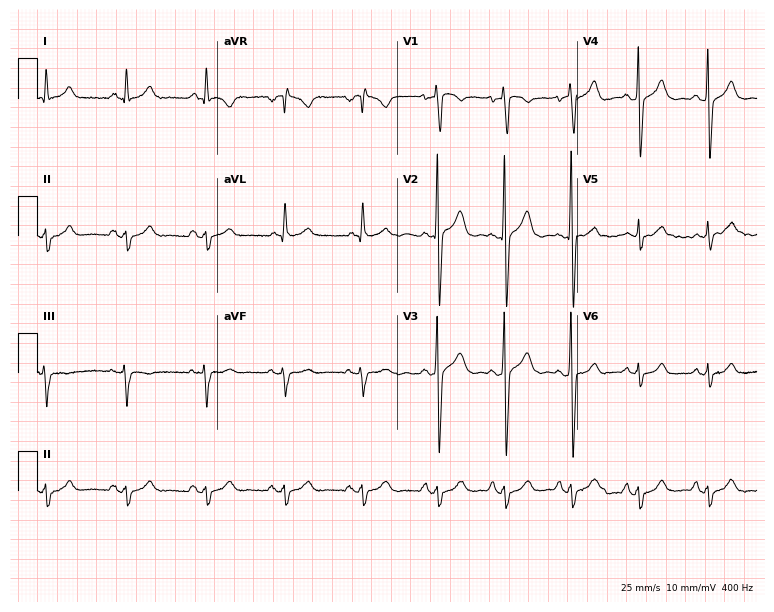
Standard 12-lead ECG recorded from a 55-year-old male patient (7.3-second recording at 400 Hz). None of these six findings is recorded: first-degree AV block, right bundle branch block, left bundle branch block, sinus bradycardia, atrial fibrillation, sinus tachycardia.